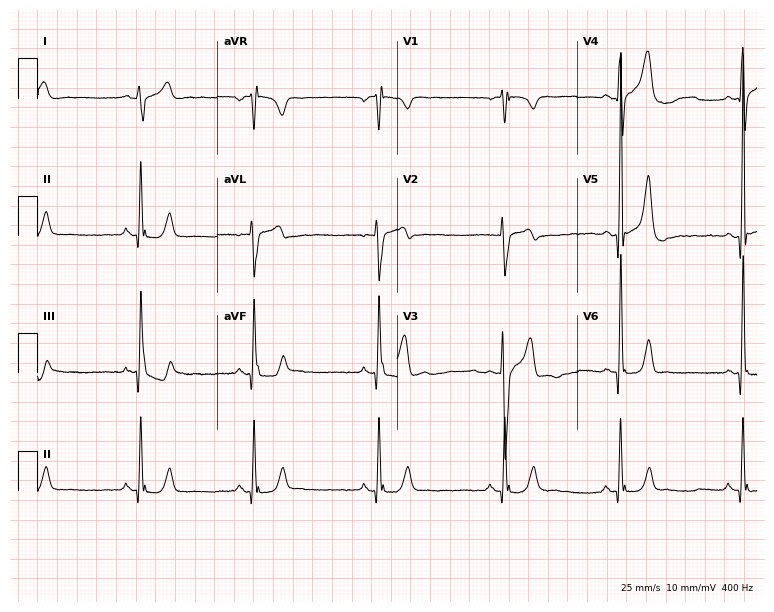
Electrocardiogram (7.3-second recording at 400 Hz), a 32-year-old male patient. Of the six screened findings (first-degree AV block, right bundle branch block (RBBB), left bundle branch block (LBBB), sinus bradycardia, atrial fibrillation (AF), sinus tachycardia), none is recorded.